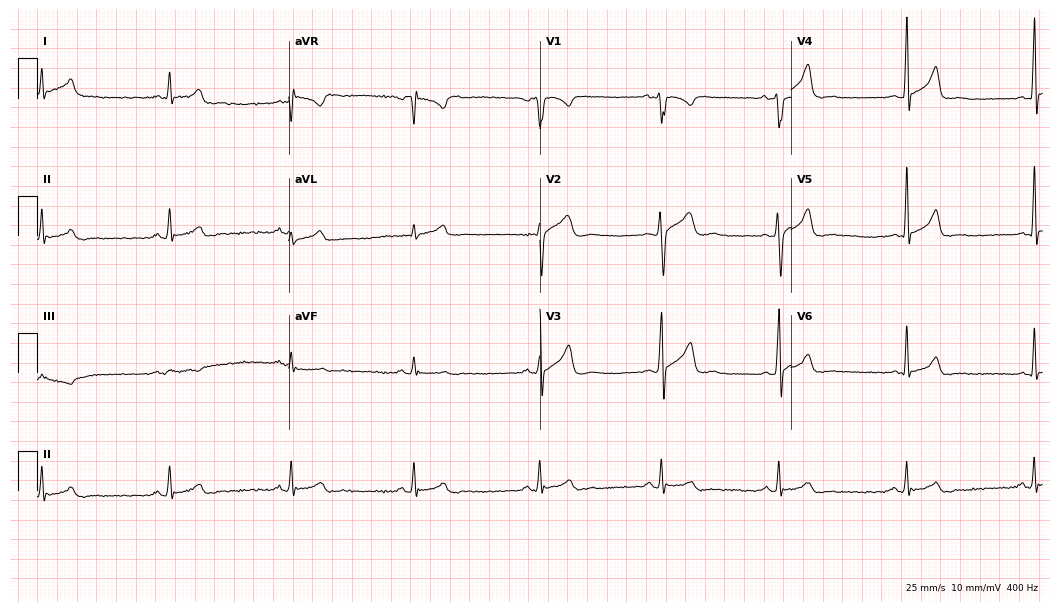
Resting 12-lead electrocardiogram. Patient: a male, 48 years old. None of these six findings is recorded: first-degree AV block, right bundle branch block, left bundle branch block, sinus bradycardia, atrial fibrillation, sinus tachycardia. Findings outside these six are not listed.